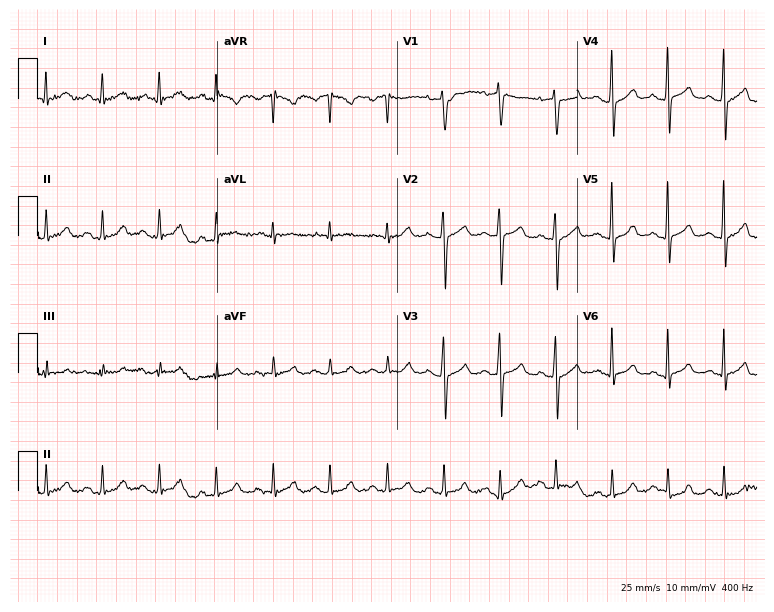
Resting 12-lead electrocardiogram (7.3-second recording at 400 Hz). Patient: a 34-year-old male. The tracing shows sinus tachycardia (a sinus rate of 100 beats per minute or more).